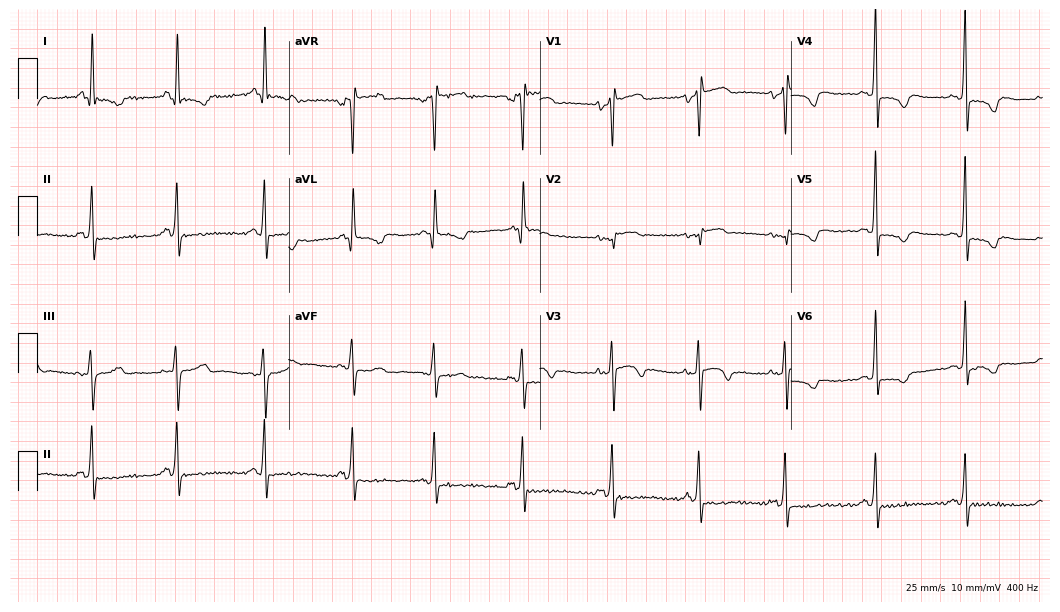
12-lead ECG from a 62-year-old female patient (10.2-second recording at 400 Hz). No first-degree AV block, right bundle branch block (RBBB), left bundle branch block (LBBB), sinus bradycardia, atrial fibrillation (AF) or sinus tachycardia recorded for this tracing.